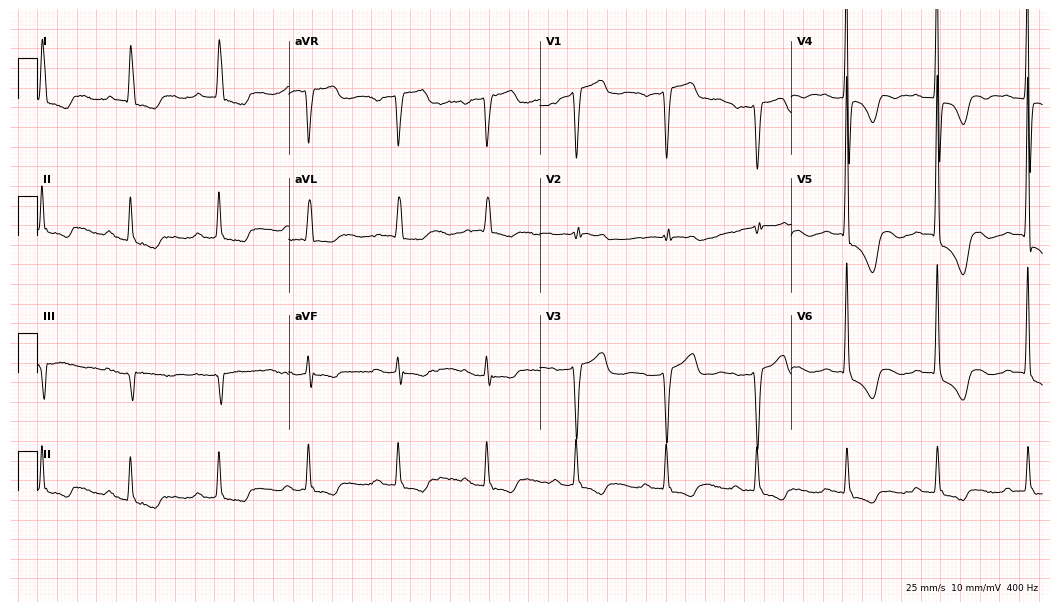
Standard 12-lead ECG recorded from a female, 76 years old. The tracing shows first-degree AV block.